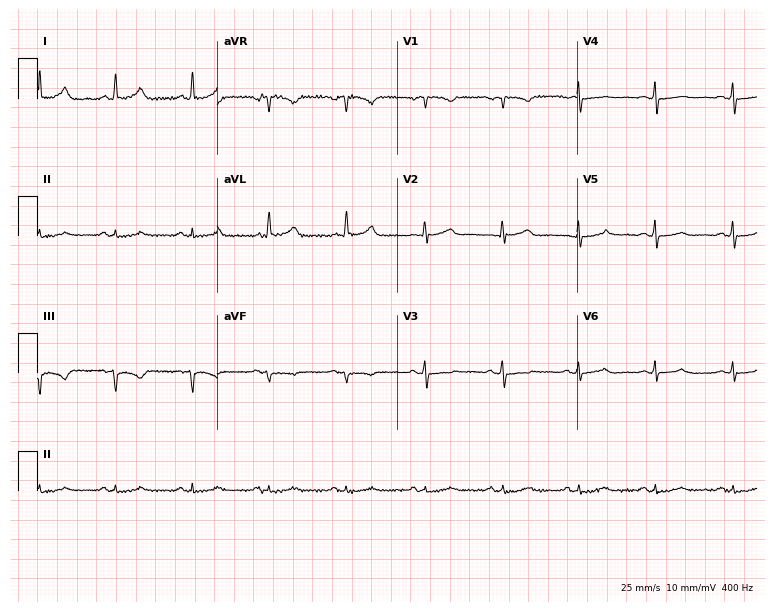
ECG (7.3-second recording at 400 Hz) — a woman, 63 years old. Screened for six findings — first-degree AV block, right bundle branch block (RBBB), left bundle branch block (LBBB), sinus bradycardia, atrial fibrillation (AF), sinus tachycardia — none is recorded. Other findings, if any, are not listed.